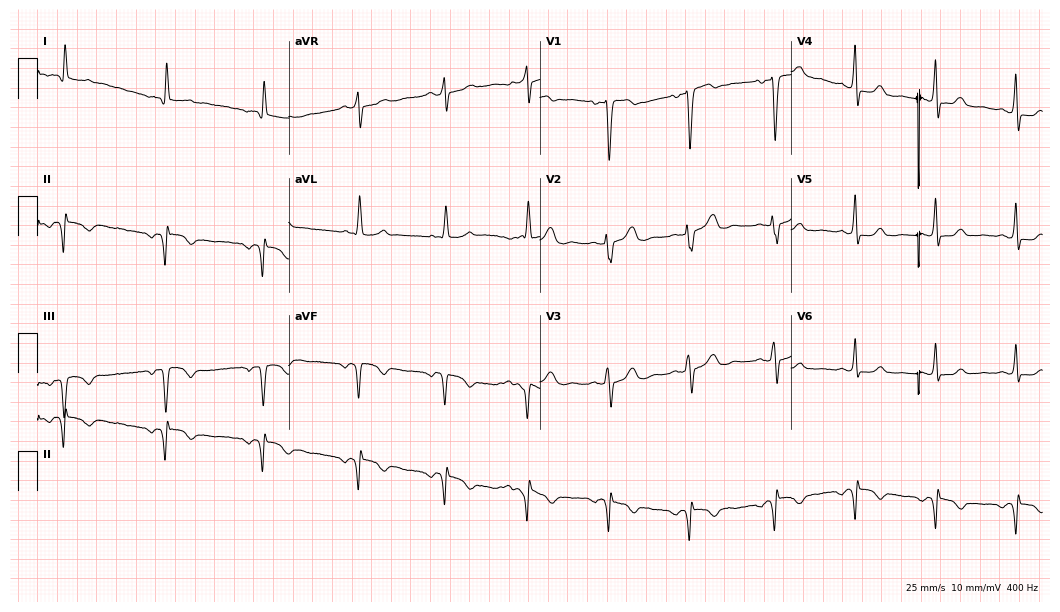
ECG (10.2-second recording at 400 Hz) — a 47-year-old woman. Screened for six findings — first-degree AV block, right bundle branch block, left bundle branch block, sinus bradycardia, atrial fibrillation, sinus tachycardia — none is recorded. Other findings, if any, are not listed.